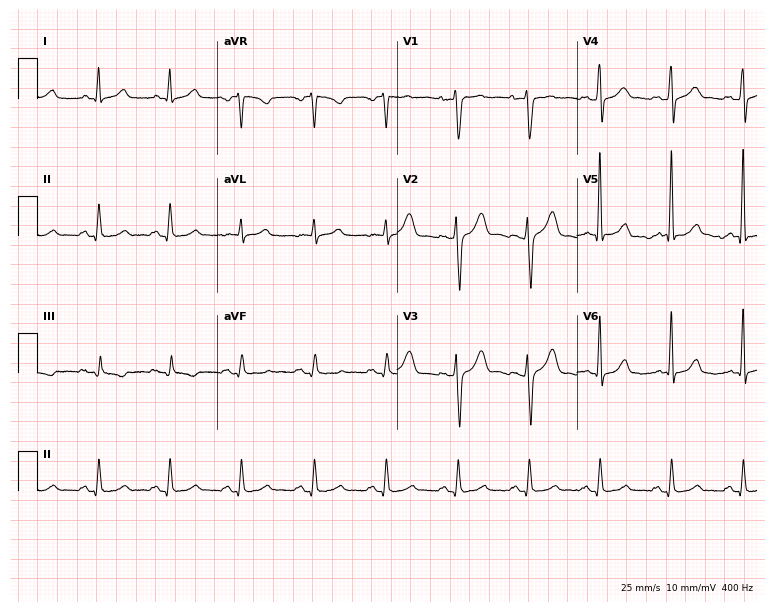
ECG — a 43-year-old woman. Screened for six findings — first-degree AV block, right bundle branch block, left bundle branch block, sinus bradycardia, atrial fibrillation, sinus tachycardia — none is recorded. Findings outside these six are not listed.